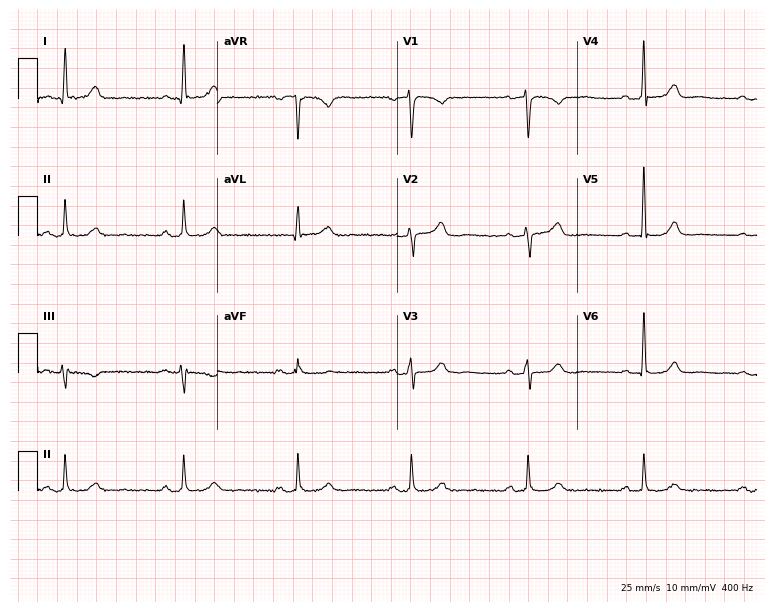
Electrocardiogram (7.3-second recording at 400 Hz), a 52-year-old female. Overall reading on record: normal ECG.